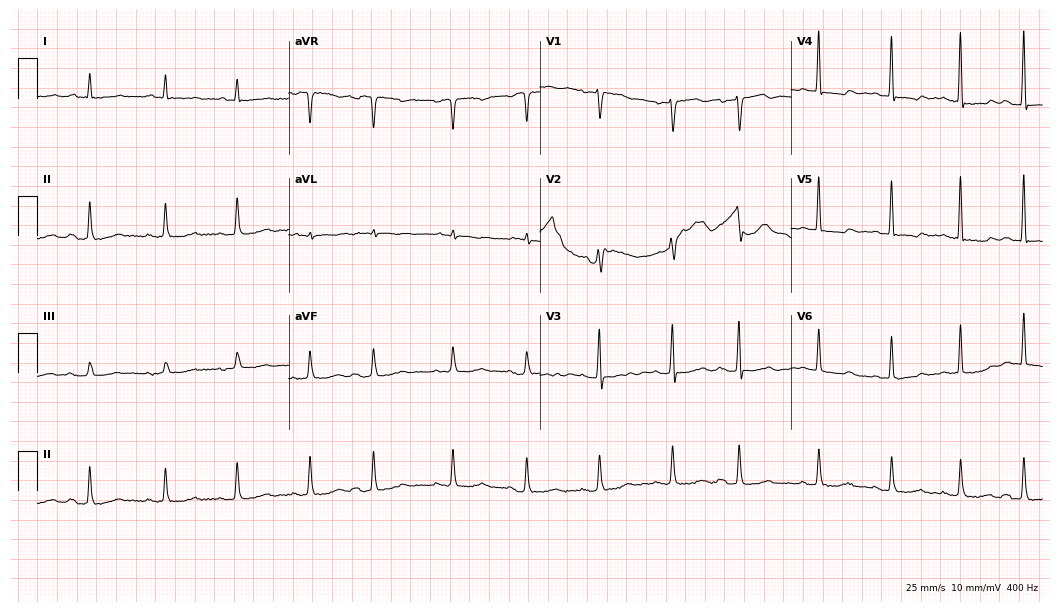
12-lead ECG from a female patient, 80 years old (10.2-second recording at 400 Hz). No first-degree AV block, right bundle branch block, left bundle branch block, sinus bradycardia, atrial fibrillation or sinus tachycardia recorded for this tracing. Other findings, if any, are not listed.